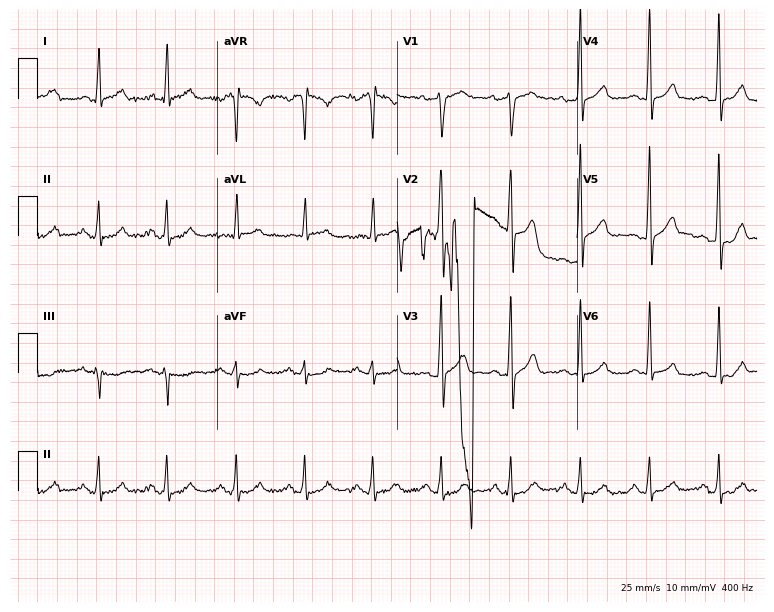
Standard 12-lead ECG recorded from a male, 51 years old (7.3-second recording at 400 Hz). None of these six findings is recorded: first-degree AV block, right bundle branch block (RBBB), left bundle branch block (LBBB), sinus bradycardia, atrial fibrillation (AF), sinus tachycardia.